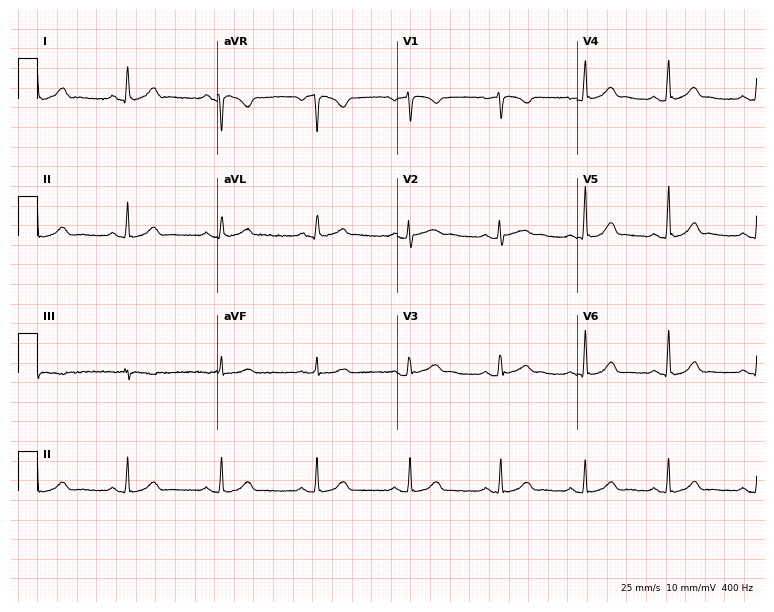
ECG (7.3-second recording at 400 Hz) — a female, 25 years old. Labelled as a normal ECG.